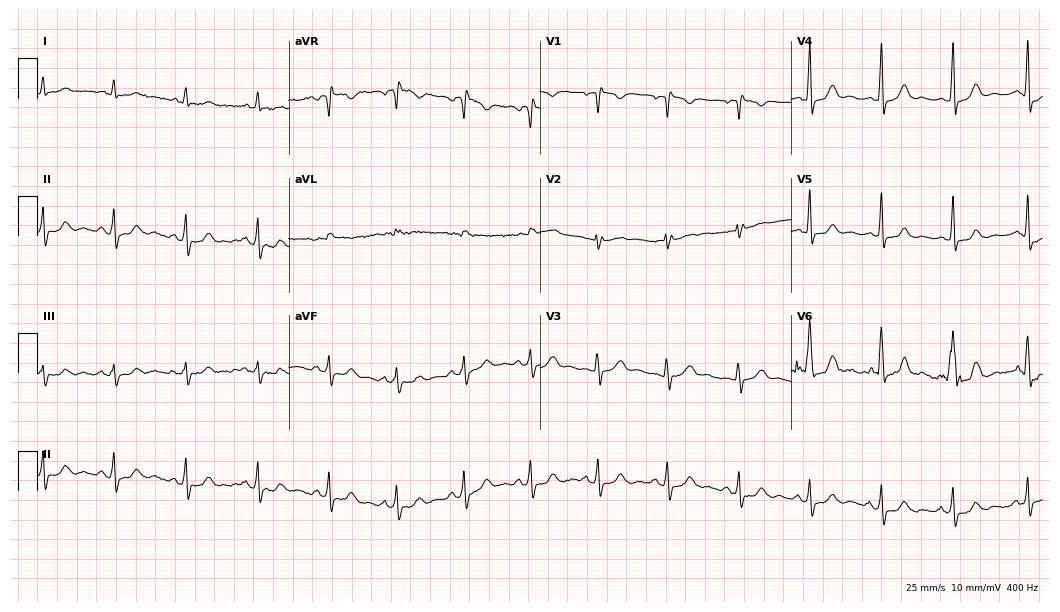
12-lead ECG from a female, 39 years old. No first-degree AV block, right bundle branch block, left bundle branch block, sinus bradycardia, atrial fibrillation or sinus tachycardia recorded for this tracing.